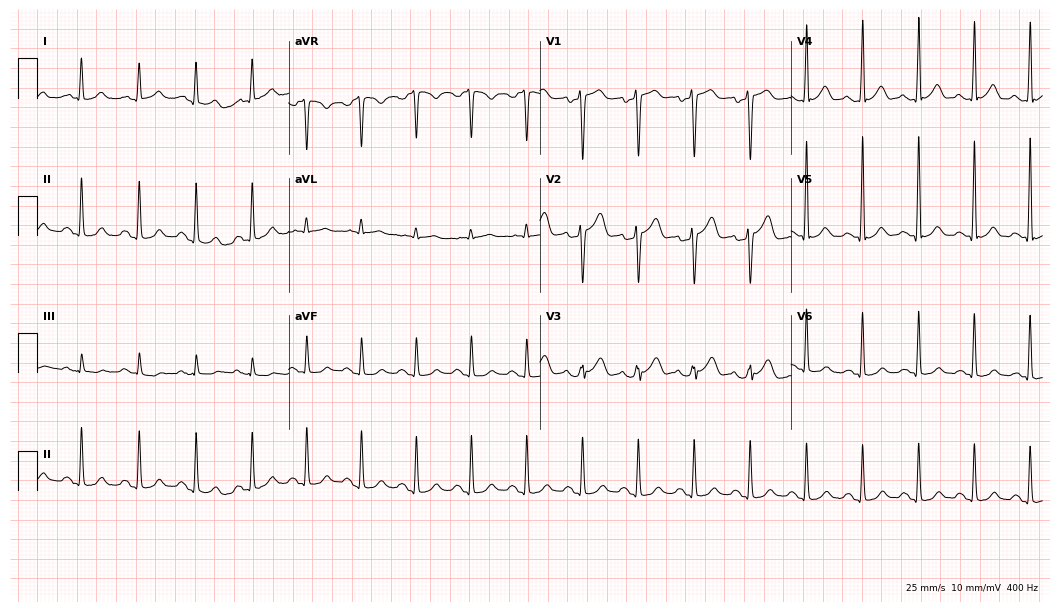
12-lead ECG from a 52-year-old man. Labelled as a normal ECG.